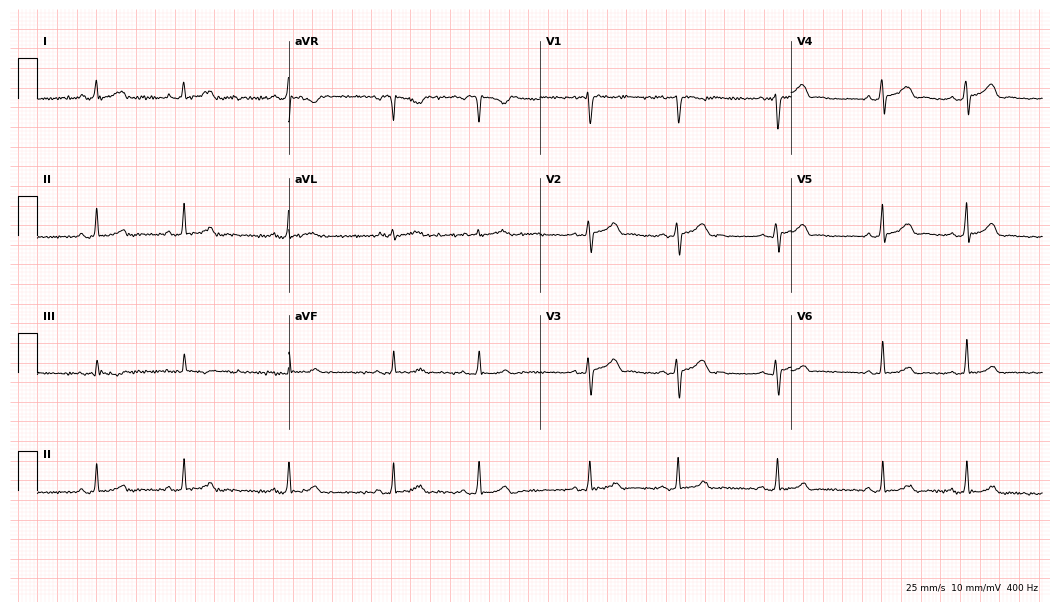
12-lead ECG from a female, 24 years old. Labelled as a normal ECG.